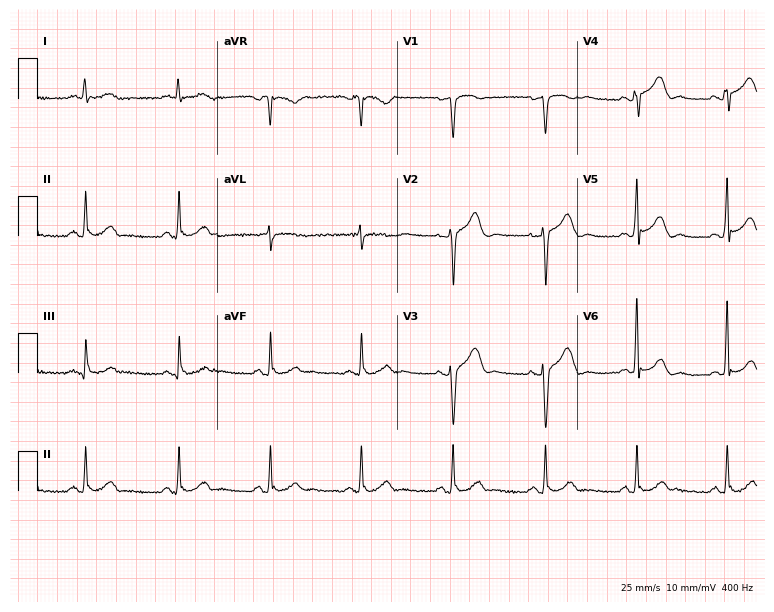
Electrocardiogram, a male patient, 63 years old. Of the six screened findings (first-degree AV block, right bundle branch block (RBBB), left bundle branch block (LBBB), sinus bradycardia, atrial fibrillation (AF), sinus tachycardia), none is recorded.